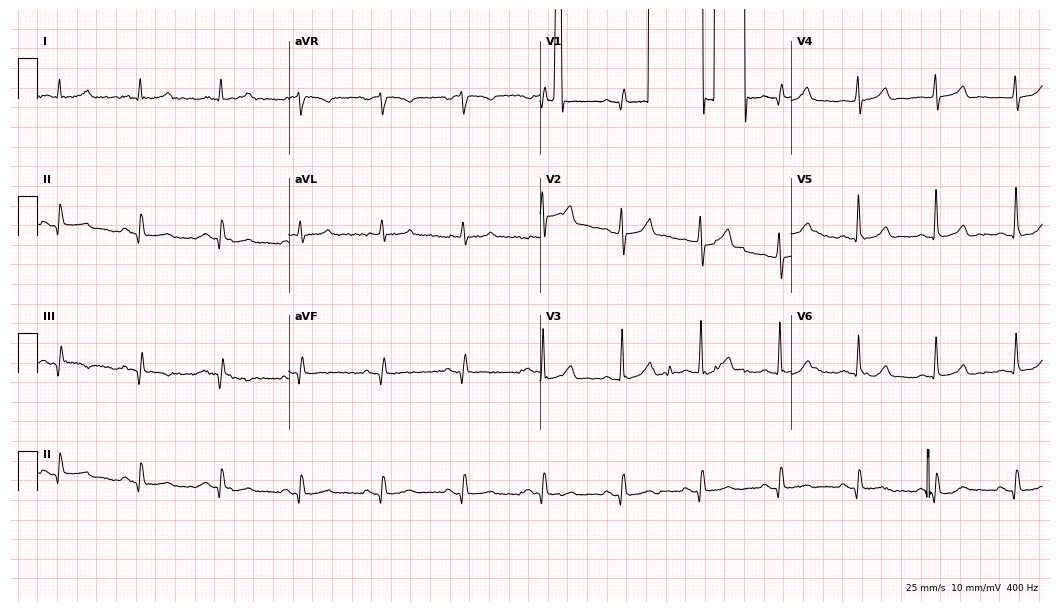
12-lead ECG from a 66-year-old man. Screened for six findings — first-degree AV block, right bundle branch block (RBBB), left bundle branch block (LBBB), sinus bradycardia, atrial fibrillation (AF), sinus tachycardia — none is recorded. Other findings, if any, are not listed.